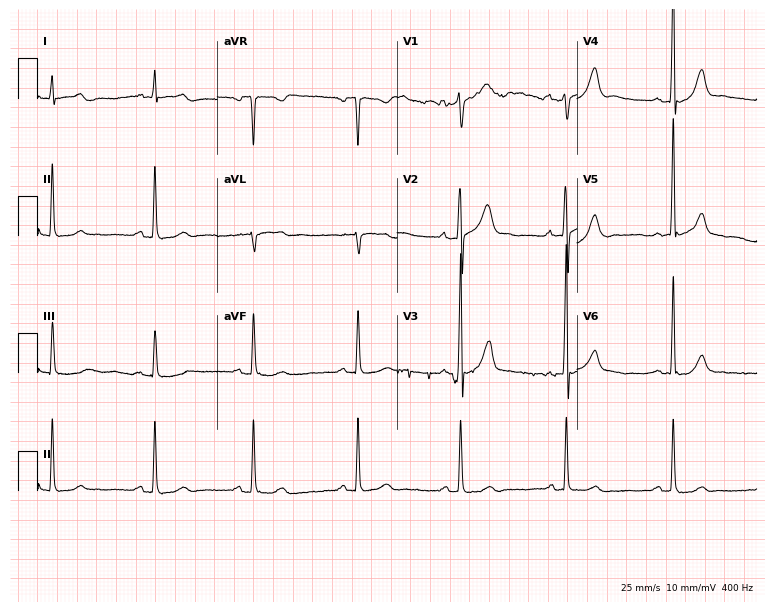
12-lead ECG (7.3-second recording at 400 Hz) from a 63-year-old male patient. Labelled as a normal ECG.